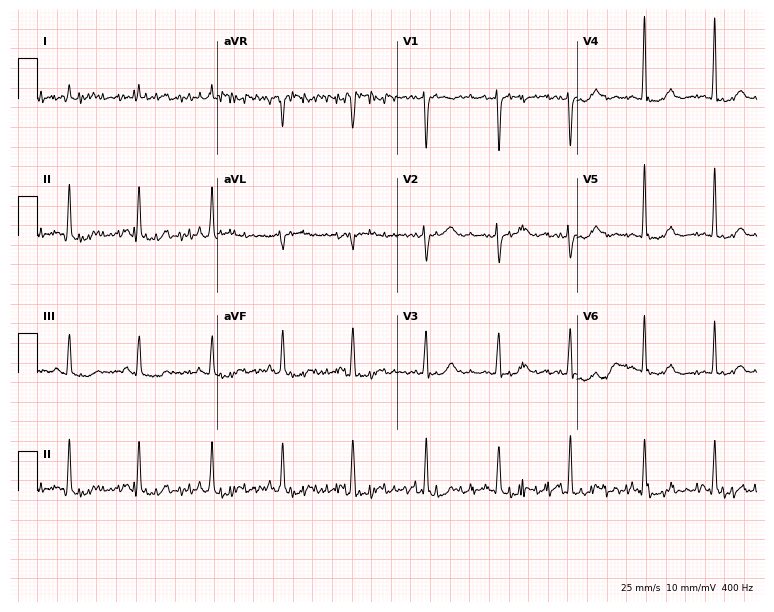
12-lead ECG from a 47-year-old female. Screened for six findings — first-degree AV block, right bundle branch block, left bundle branch block, sinus bradycardia, atrial fibrillation, sinus tachycardia — none is recorded.